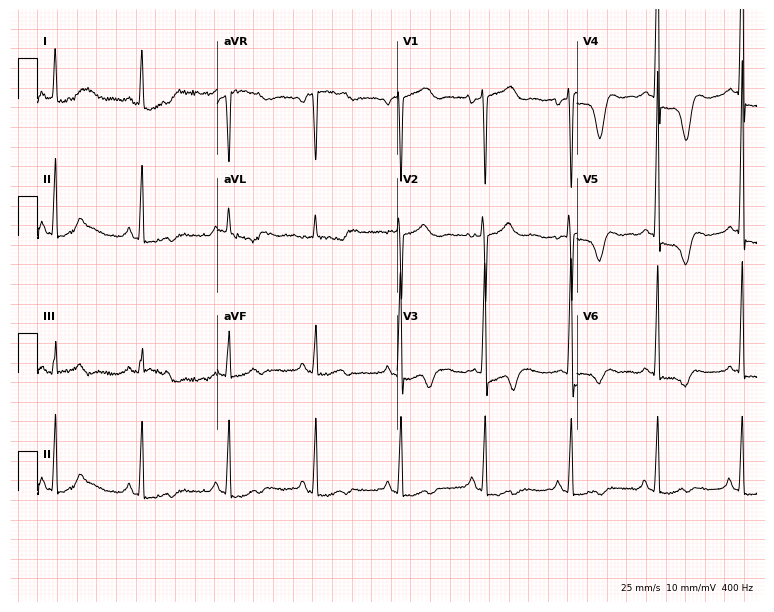
12-lead ECG from an 80-year-old female patient (7.3-second recording at 400 Hz). No first-degree AV block, right bundle branch block (RBBB), left bundle branch block (LBBB), sinus bradycardia, atrial fibrillation (AF) or sinus tachycardia recorded for this tracing.